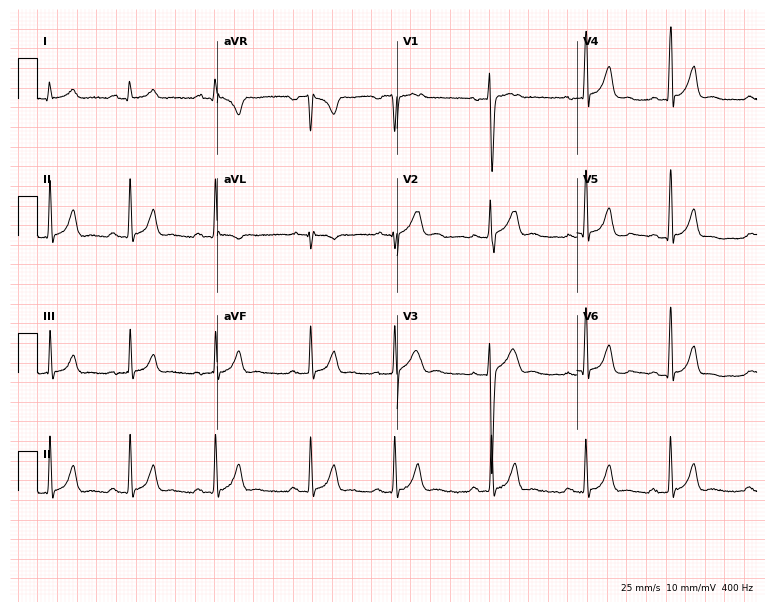
Resting 12-lead electrocardiogram. Patient: a man, 17 years old. Read as a normal ECG.